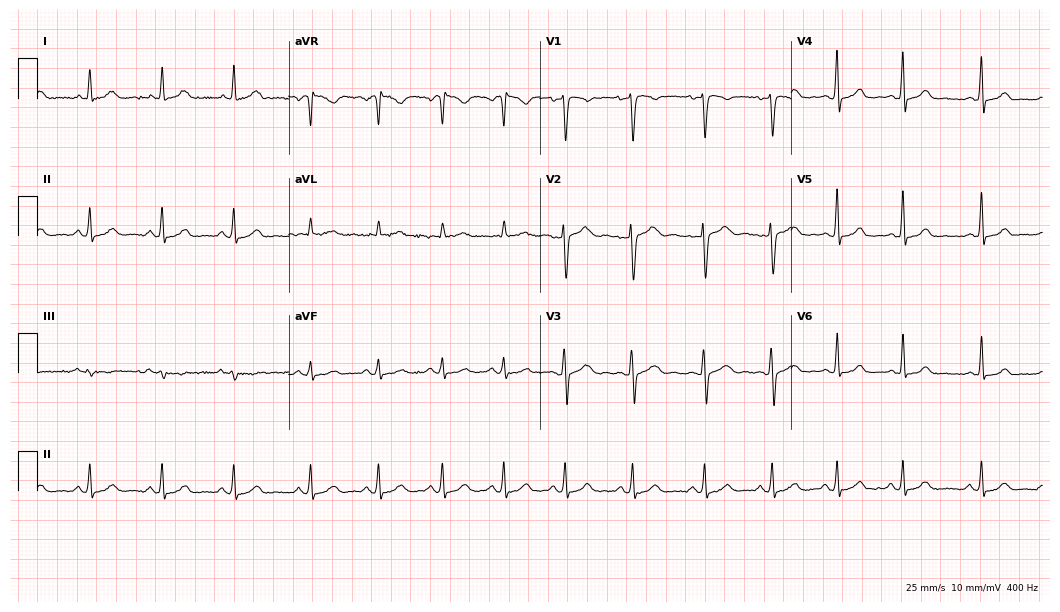
ECG (10.2-second recording at 400 Hz) — a woman, 29 years old. Screened for six findings — first-degree AV block, right bundle branch block (RBBB), left bundle branch block (LBBB), sinus bradycardia, atrial fibrillation (AF), sinus tachycardia — none is recorded. Other findings, if any, are not listed.